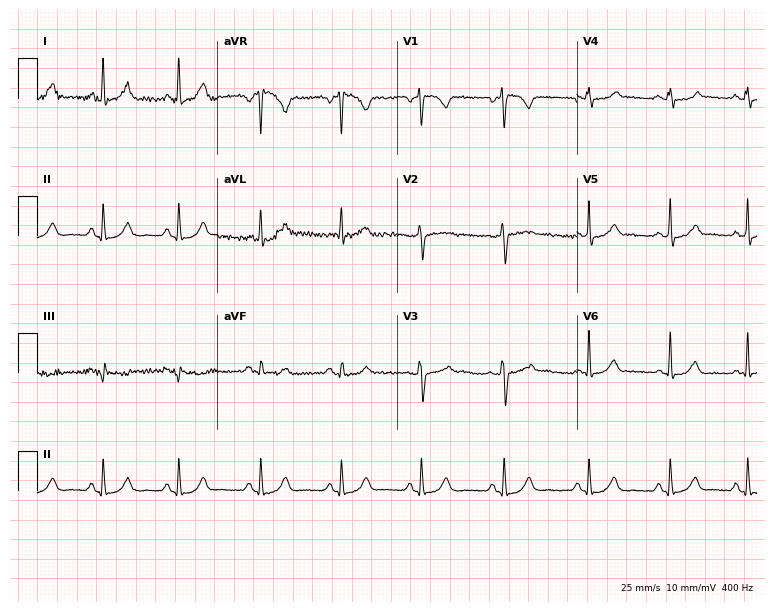
Standard 12-lead ECG recorded from a 50-year-old female. None of these six findings is recorded: first-degree AV block, right bundle branch block, left bundle branch block, sinus bradycardia, atrial fibrillation, sinus tachycardia. Other findings, if any, are not listed.